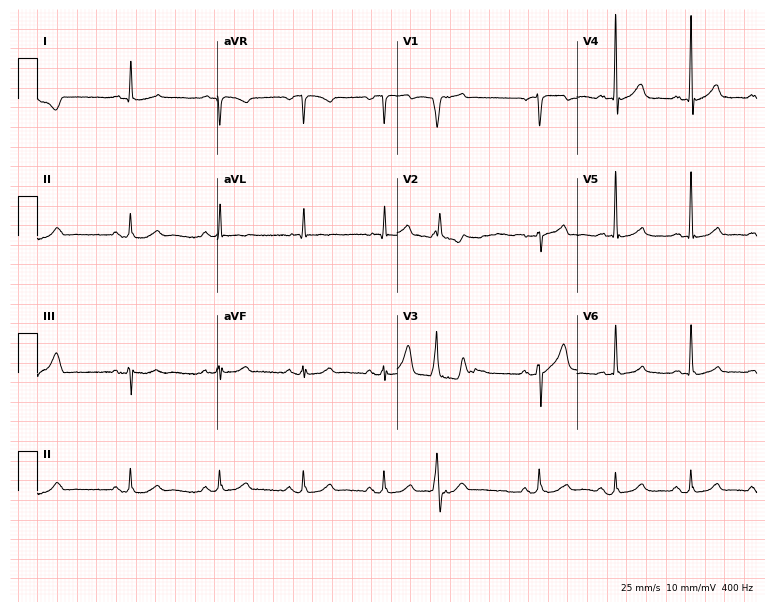
Standard 12-lead ECG recorded from a 79-year-old male patient. None of these six findings is recorded: first-degree AV block, right bundle branch block (RBBB), left bundle branch block (LBBB), sinus bradycardia, atrial fibrillation (AF), sinus tachycardia.